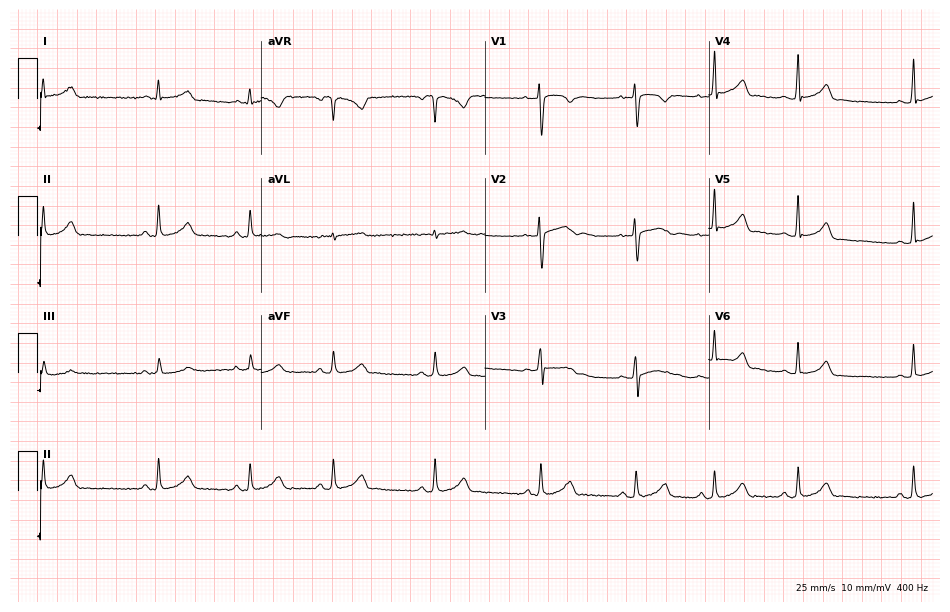
Standard 12-lead ECG recorded from a 21-year-old woman. None of these six findings is recorded: first-degree AV block, right bundle branch block (RBBB), left bundle branch block (LBBB), sinus bradycardia, atrial fibrillation (AF), sinus tachycardia.